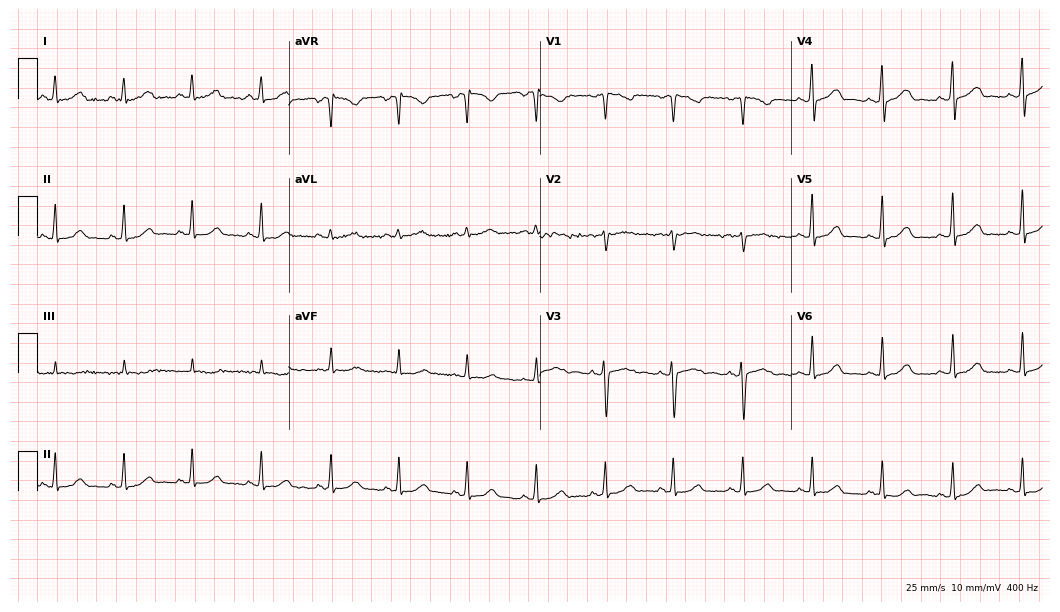
Resting 12-lead electrocardiogram. Patient: a 43-year-old woman. None of these six findings is recorded: first-degree AV block, right bundle branch block, left bundle branch block, sinus bradycardia, atrial fibrillation, sinus tachycardia. Only these six findings were labelled.